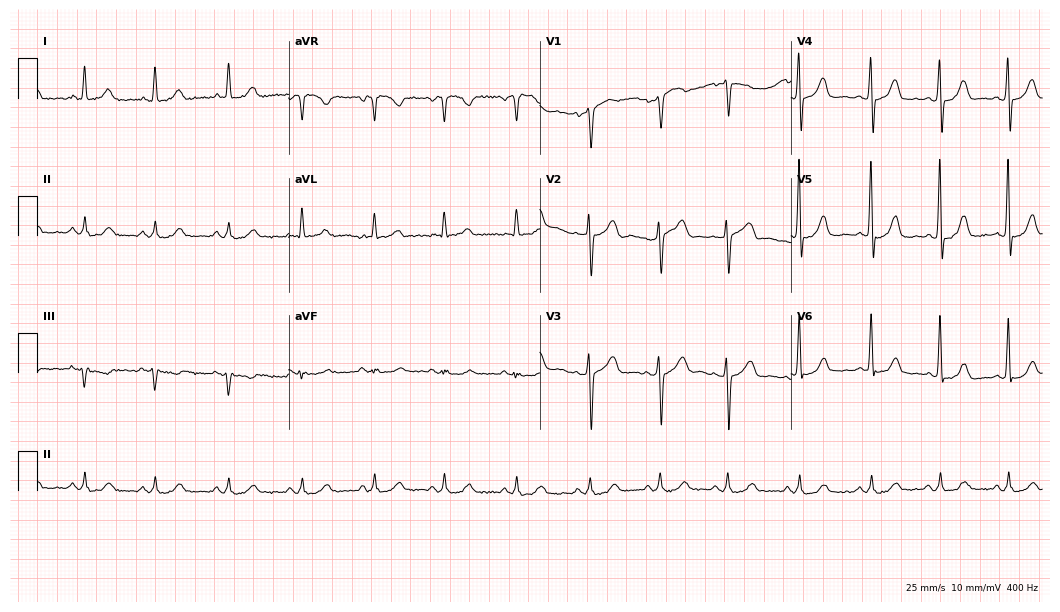
12-lead ECG from a female patient, 56 years old (10.2-second recording at 400 Hz). Recorded interpretation: within normal limits.